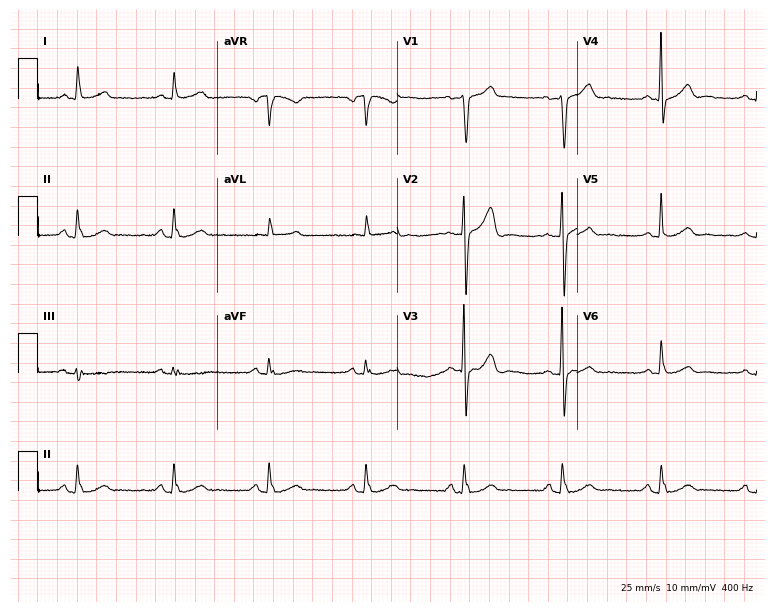
Resting 12-lead electrocardiogram. Patient: a male, 68 years old. Read as a normal ECG.